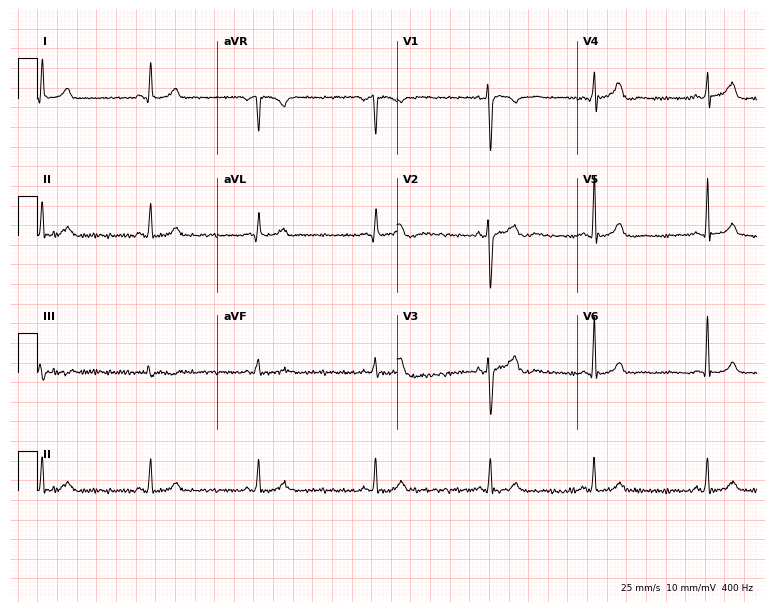
Electrocardiogram, an 18-year-old male patient. Of the six screened findings (first-degree AV block, right bundle branch block (RBBB), left bundle branch block (LBBB), sinus bradycardia, atrial fibrillation (AF), sinus tachycardia), none is recorded. Other findings, if any, are not listed.